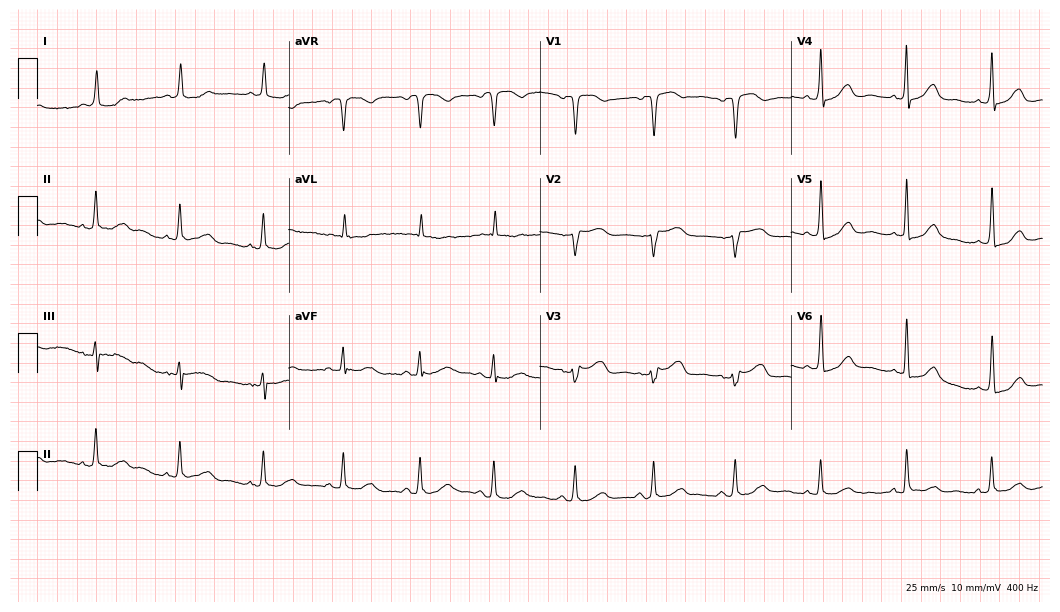
Resting 12-lead electrocardiogram (10.2-second recording at 400 Hz). Patient: a 59-year-old woman. None of these six findings is recorded: first-degree AV block, right bundle branch block (RBBB), left bundle branch block (LBBB), sinus bradycardia, atrial fibrillation (AF), sinus tachycardia. Only these six findings were labelled.